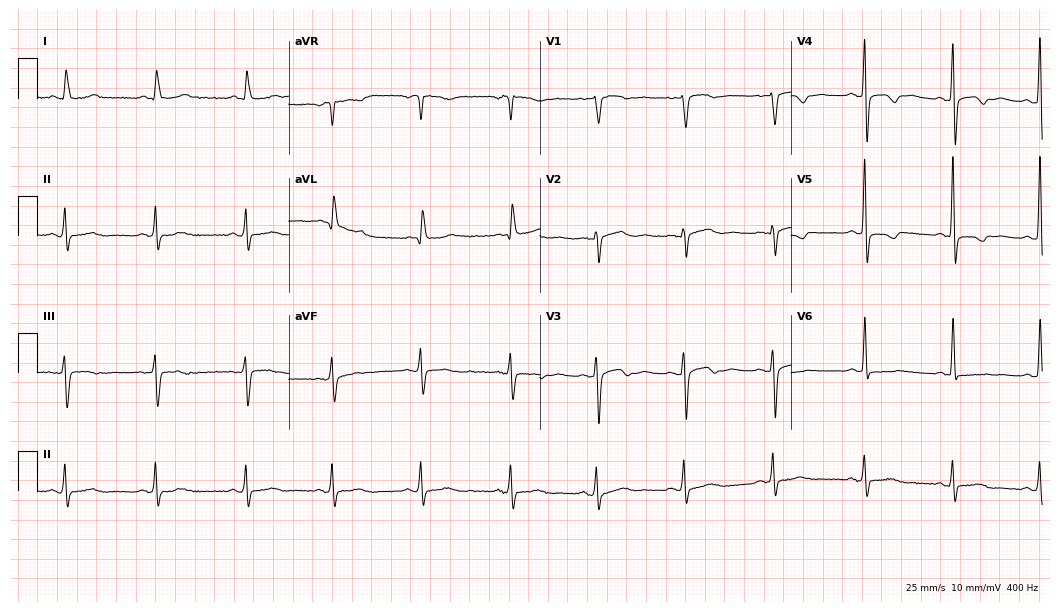
12-lead ECG from a woman, 84 years old. No first-degree AV block, right bundle branch block (RBBB), left bundle branch block (LBBB), sinus bradycardia, atrial fibrillation (AF) or sinus tachycardia recorded for this tracing.